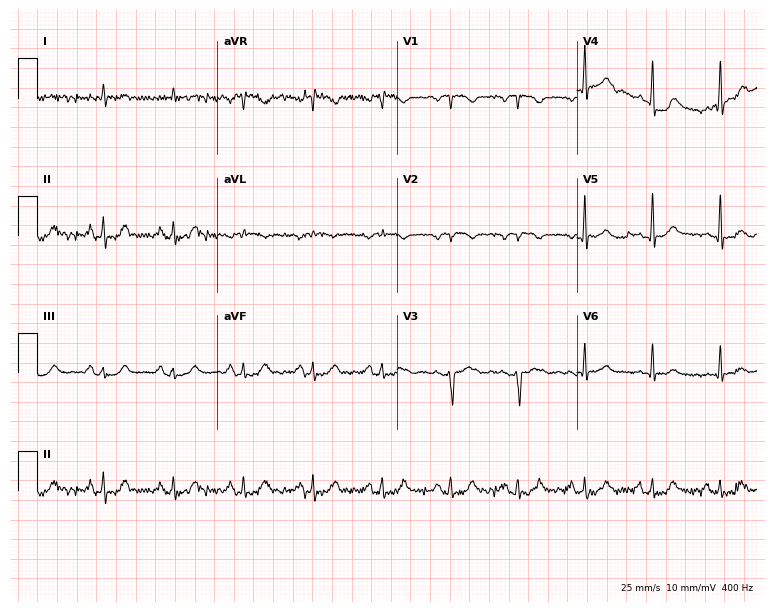
12-lead ECG from an 84-year-old male patient (7.3-second recording at 400 Hz). No first-degree AV block, right bundle branch block (RBBB), left bundle branch block (LBBB), sinus bradycardia, atrial fibrillation (AF) or sinus tachycardia recorded for this tracing.